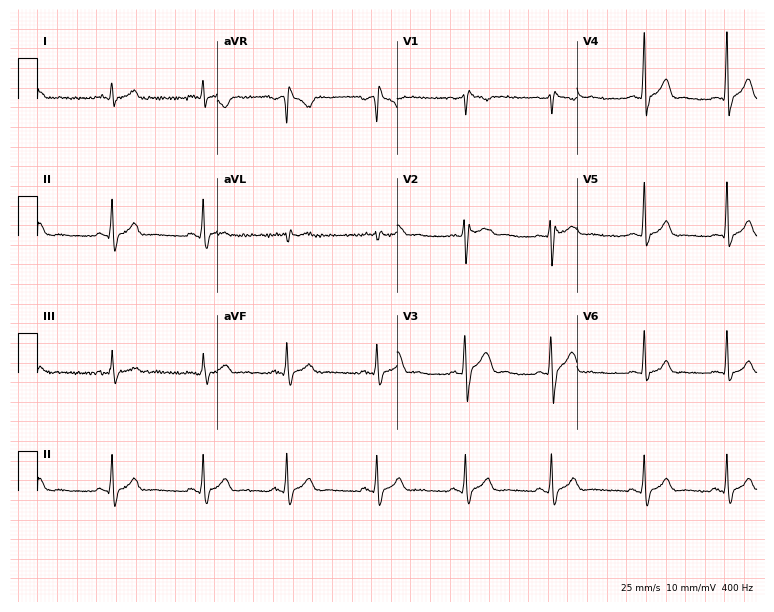
12-lead ECG from a 21-year-old male. Labelled as a normal ECG.